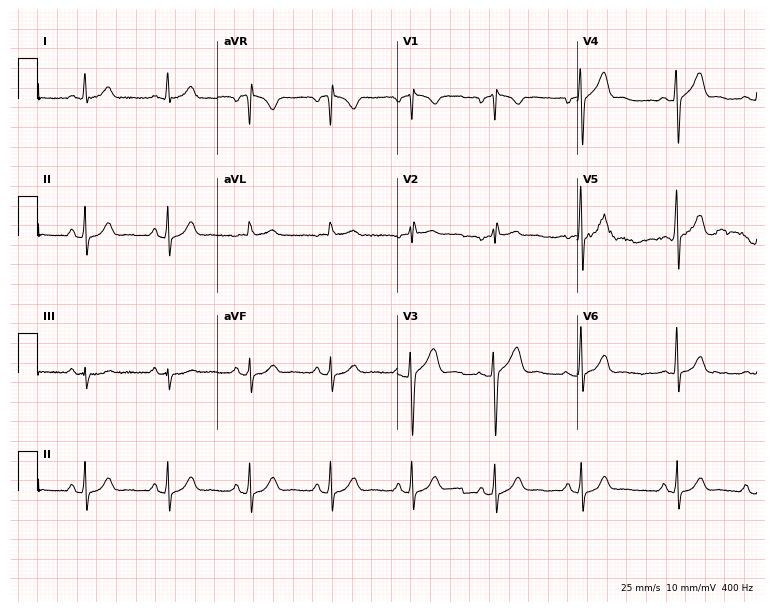
Resting 12-lead electrocardiogram (7.3-second recording at 400 Hz). Patient: a male, 45 years old. Read as a normal ECG.